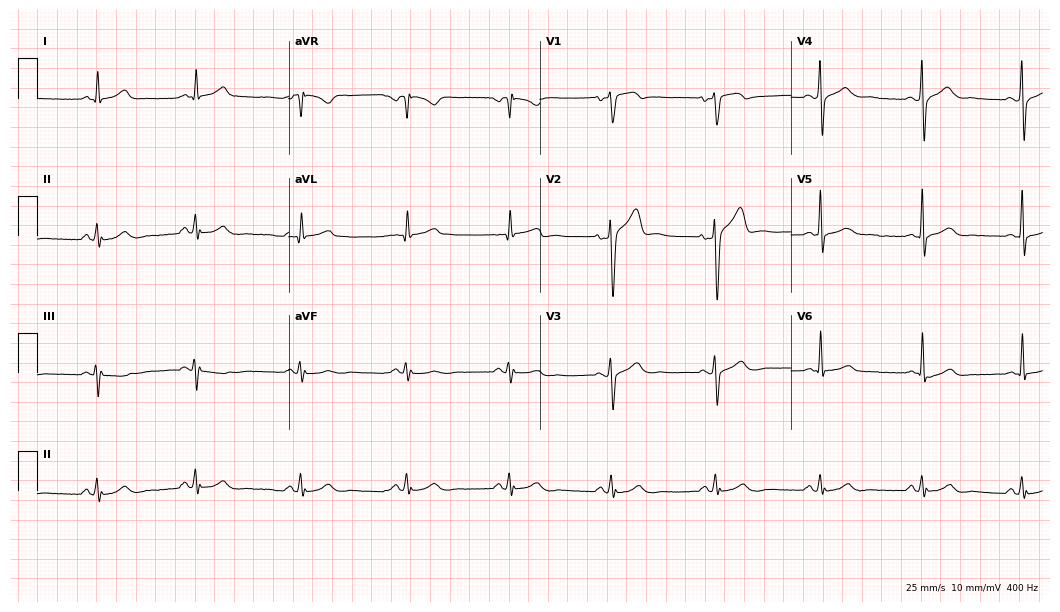
ECG (10.2-second recording at 400 Hz) — a 48-year-old male patient. Labelled as a normal ECG.